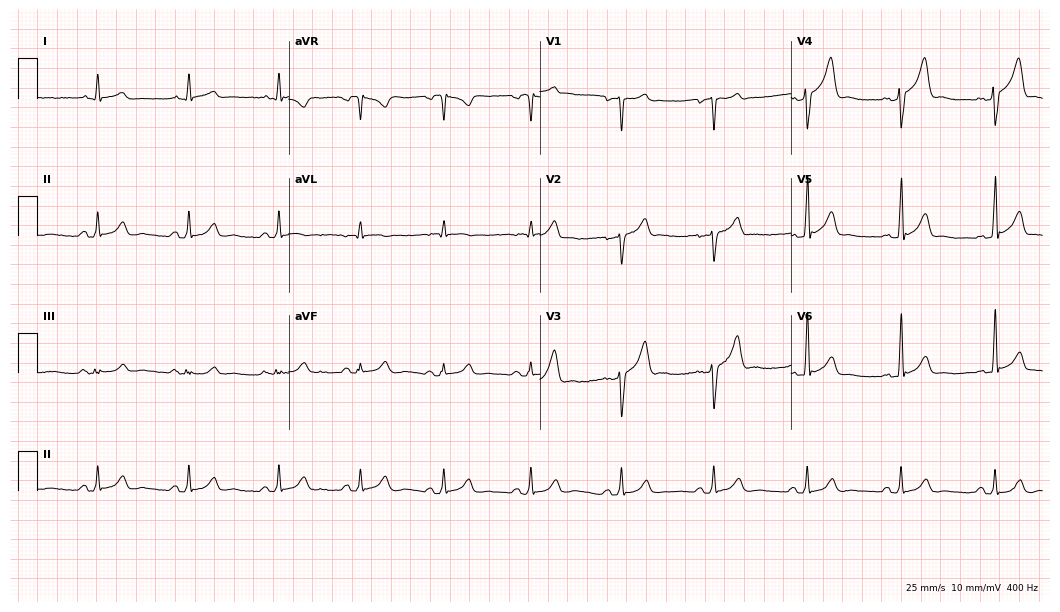
Standard 12-lead ECG recorded from a 39-year-old male patient (10.2-second recording at 400 Hz). Read as a normal ECG.